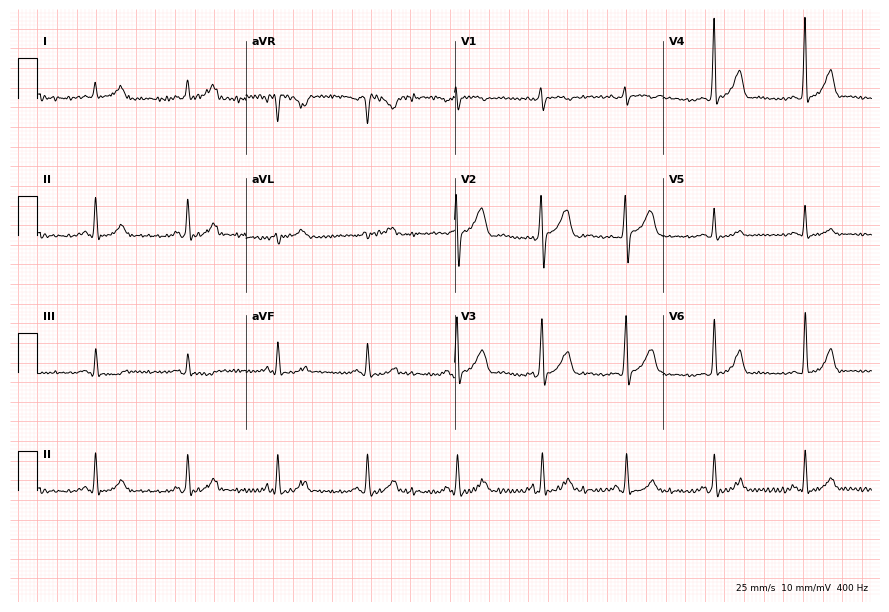
12-lead ECG from a 46-year-old male. Labelled as a normal ECG.